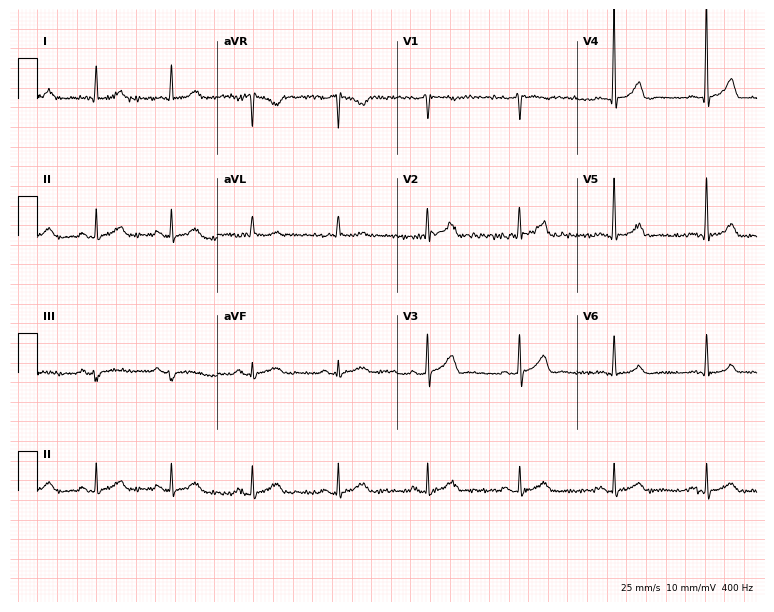
12-lead ECG from a 61-year-old male patient. Recorded interpretation: within normal limits.